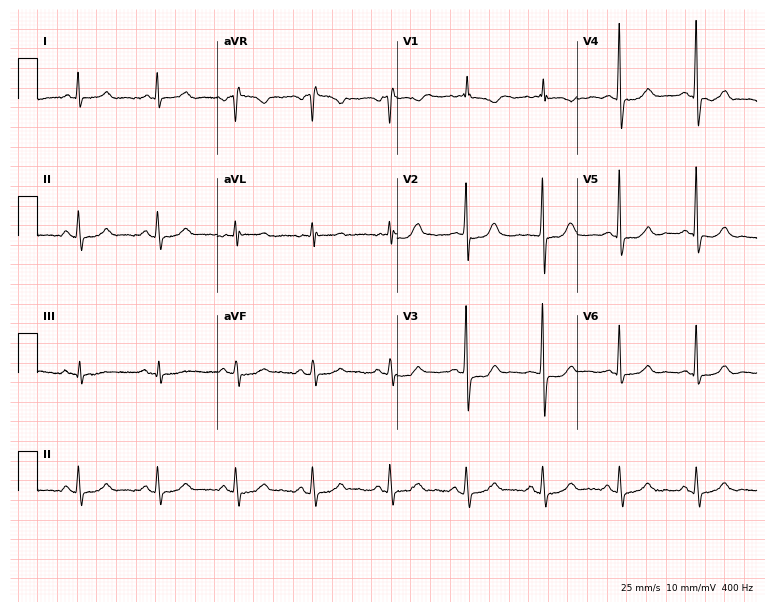
12-lead ECG (7.3-second recording at 400 Hz) from a 69-year-old female patient. Labelled as a normal ECG.